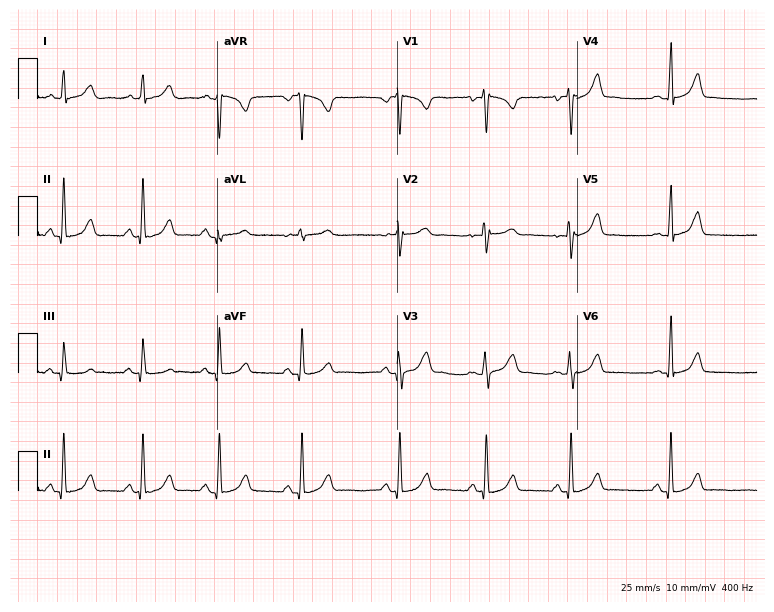
12-lead ECG from a female patient, 23 years old. Labelled as a normal ECG.